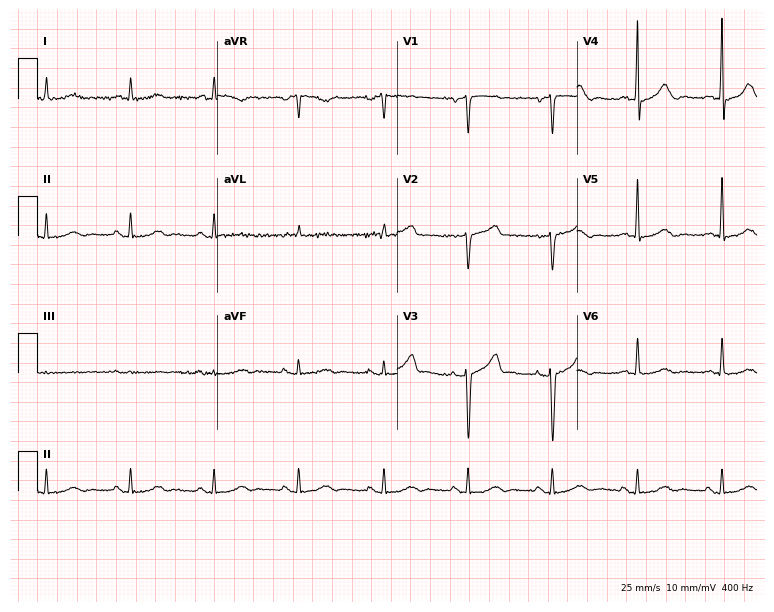
Electrocardiogram, a 56-year-old male patient. Of the six screened findings (first-degree AV block, right bundle branch block, left bundle branch block, sinus bradycardia, atrial fibrillation, sinus tachycardia), none is recorded.